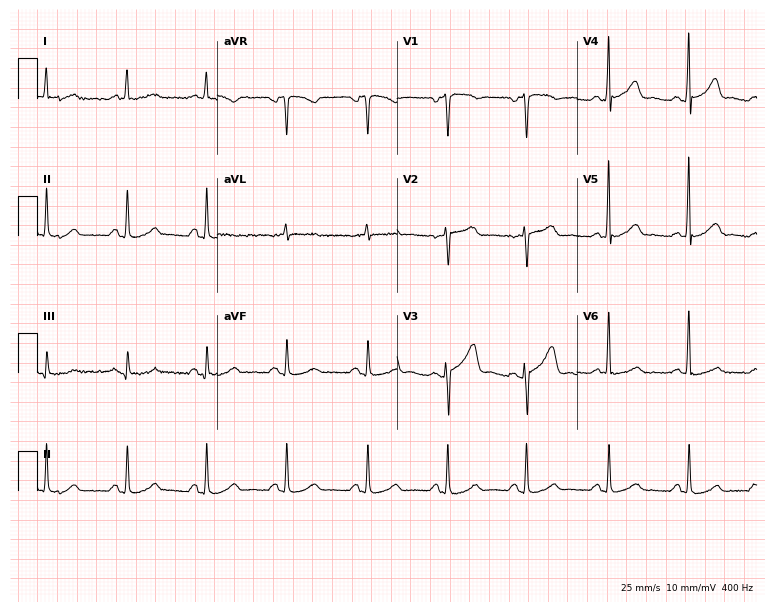
Electrocardiogram, a female, 47 years old. Overall reading on record: normal ECG.